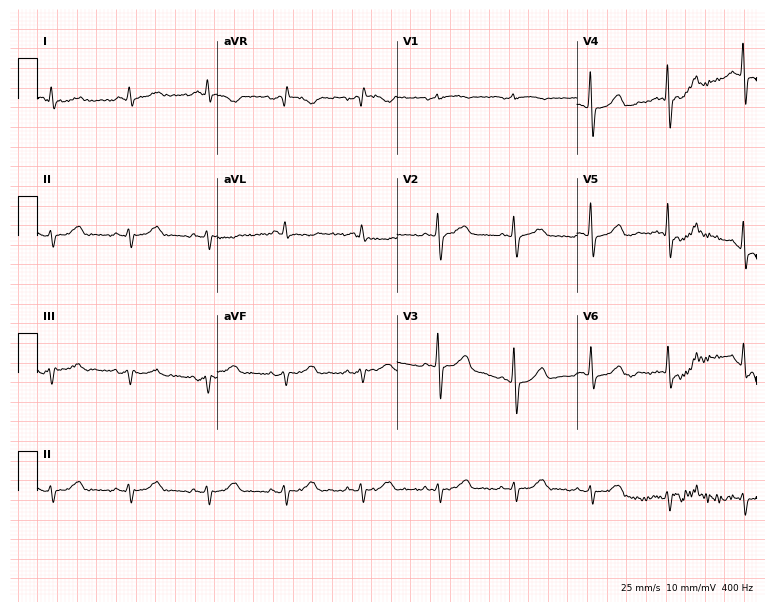
Resting 12-lead electrocardiogram (7.3-second recording at 400 Hz). Patient: a 69-year-old male. None of these six findings is recorded: first-degree AV block, right bundle branch block, left bundle branch block, sinus bradycardia, atrial fibrillation, sinus tachycardia.